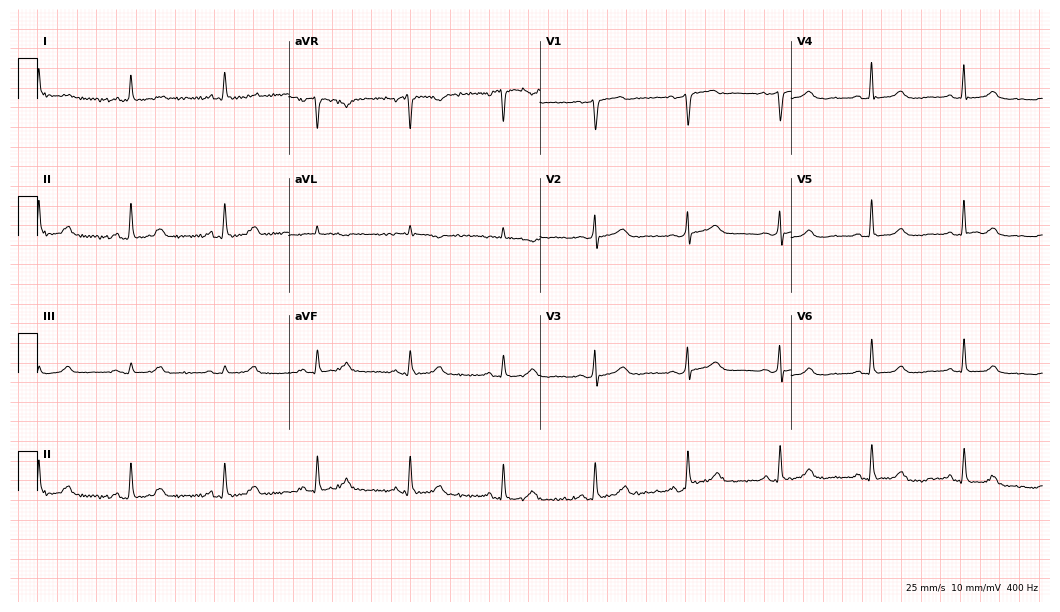
ECG — a 68-year-old woman. Screened for six findings — first-degree AV block, right bundle branch block, left bundle branch block, sinus bradycardia, atrial fibrillation, sinus tachycardia — none is recorded.